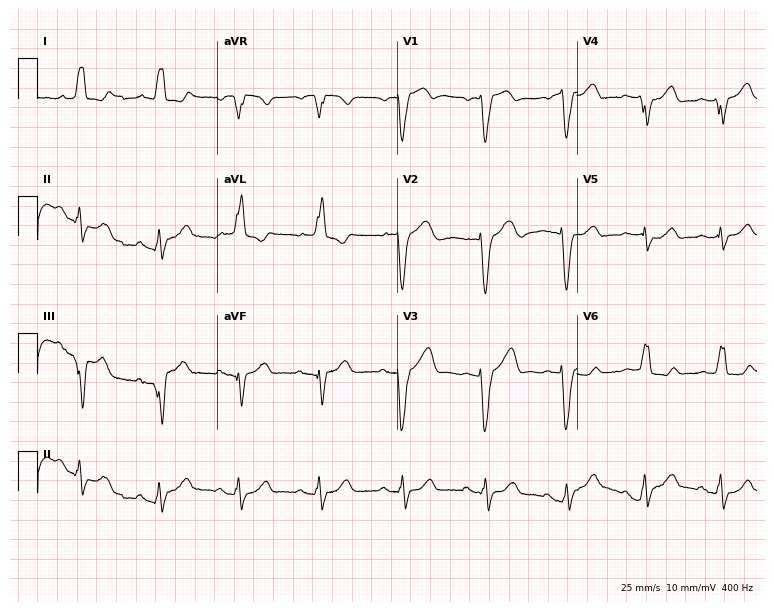
Resting 12-lead electrocardiogram (7.3-second recording at 400 Hz). Patient: a 68-year-old female. The tracing shows left bundle branch block.